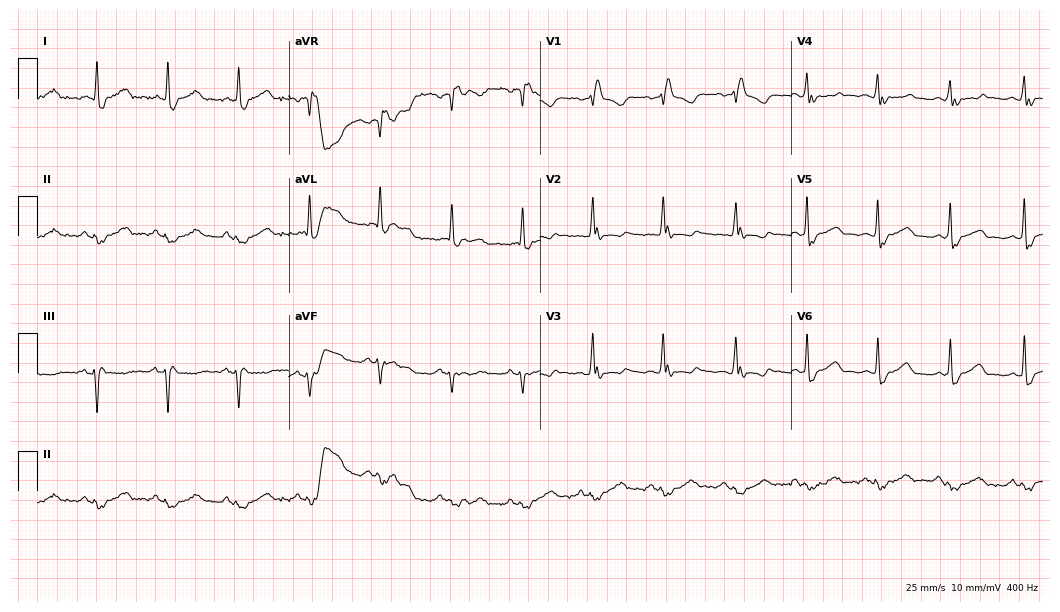
12-lead ECG (10.2-second recording at 400 Hz) from a female, 78 years old. Screened for six findings — first-degree AV block, right bundle branch block (RBBB), left bundle branch block (LBBB), sinus bradycardia, atrial fibrillation (AF), sinus tachycardia — none is recorded. Other findings, if any, are not listed.